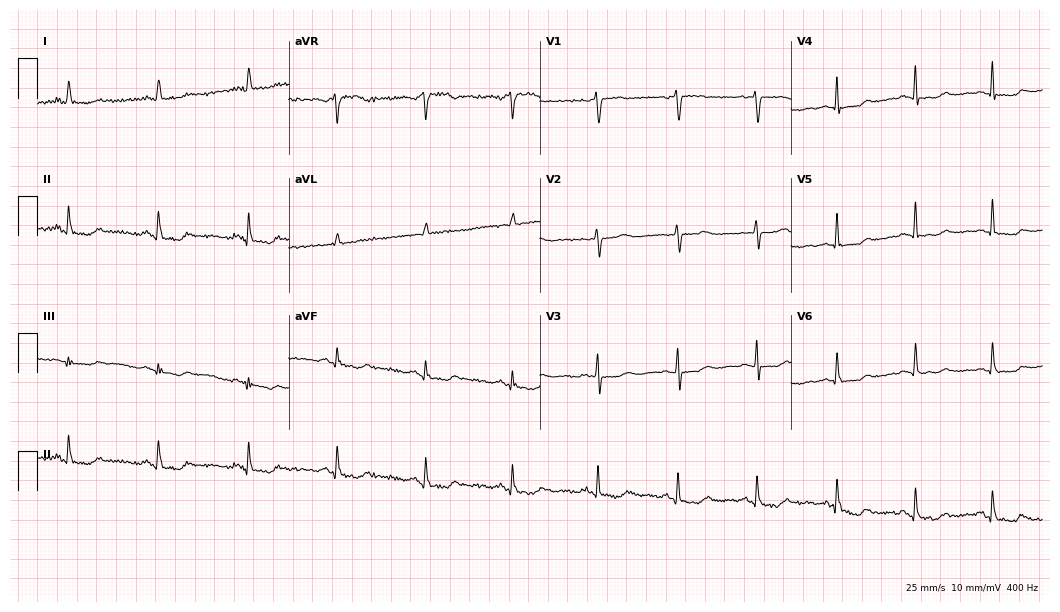
12-lead ECG (10.2-second recording at 400 Hz) from a woman, 60 years old. Labelled as a normal ECG.